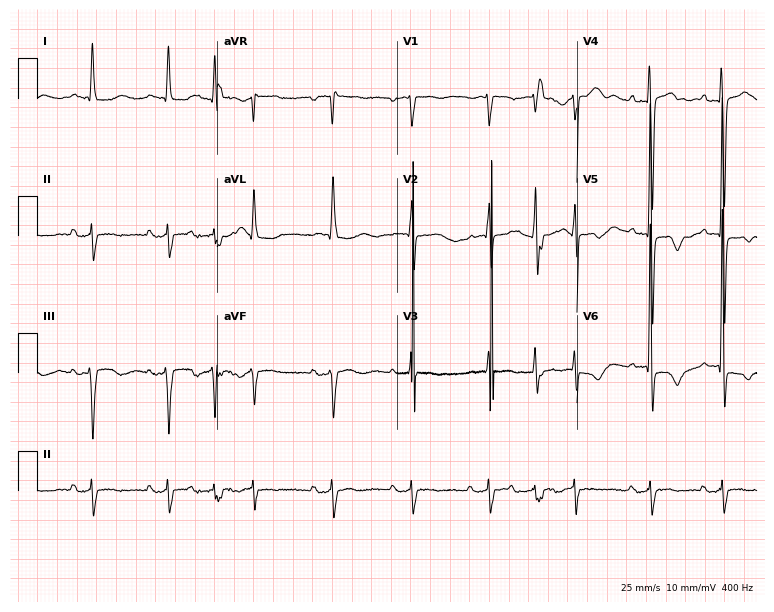
Resting 12-lead electrocardiogram. Patient: a 74-year-old female. None of these six findings is recorded: first-degree AV block, right bundle branch block, left bundle branch block, sinus bradycardia, atrial fibrillation, sinus tachycardia. Findings outside these six are not listed.